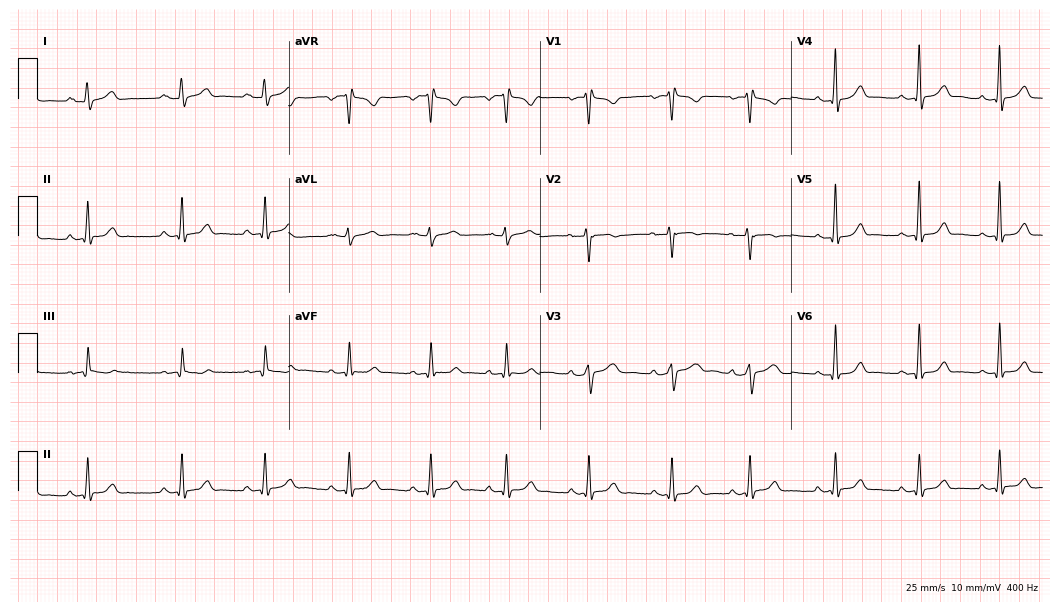
Standard 12-lead ECG recorded from a 29-year-old female. Read as a normal ECG.